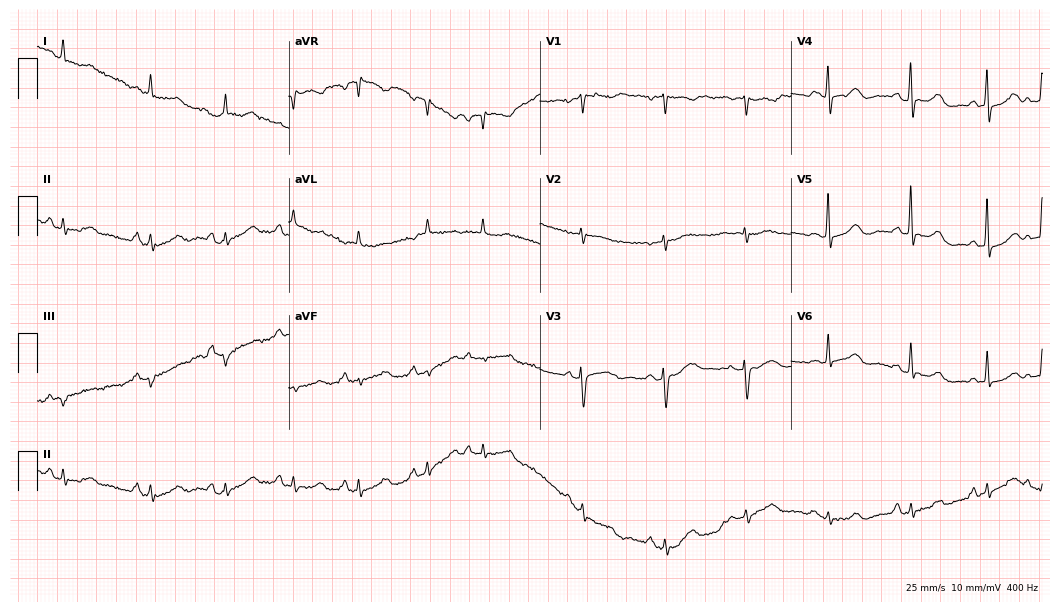
Standard 12-lead ECG recorded from an 84-year-old female (10.2-second recording at 400 Hz). None of these six findings is recorded: first-degree AV block, right bundle branch block, left bundle branch block, sinus bradycardia, atrial fibrillation, sinus tachycardia. Other findings, if any, are not listed.